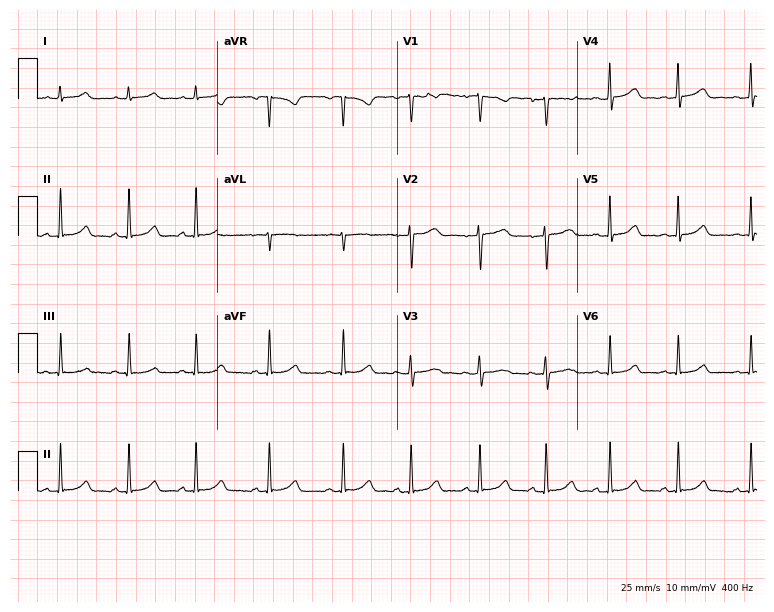
12-lead ECG (7.3-second recording at 400 Hz) from a 19-year-old woman. Labelled as a normal ECG.